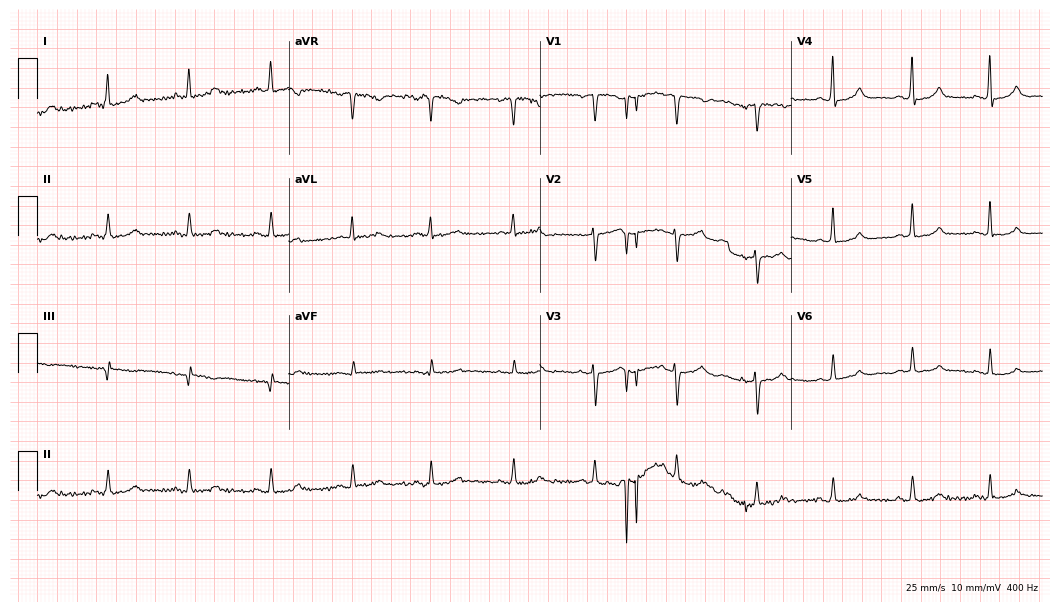
Electrocardiogram (10.2-second recording at 400 Hz), a female, 45 years old. Overall reading on record: normal ECG.